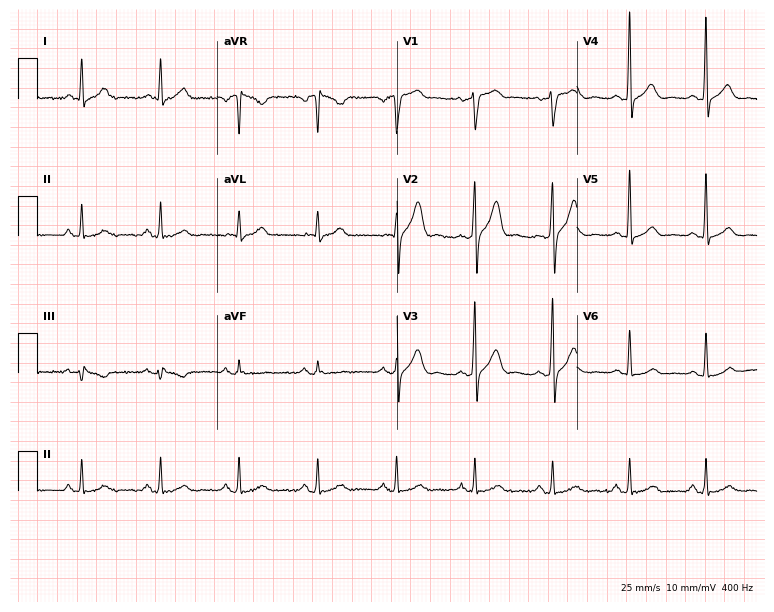
Standard 12-lead ECG recorded from a 51-year-old man (7.3-second recording at 400 Hz). None of these six findings is recorded: first-degree AV block, right bundle branch block, left bundle branch block, sinus bradycardia, atrial fibrillation, sinus tachycardia.